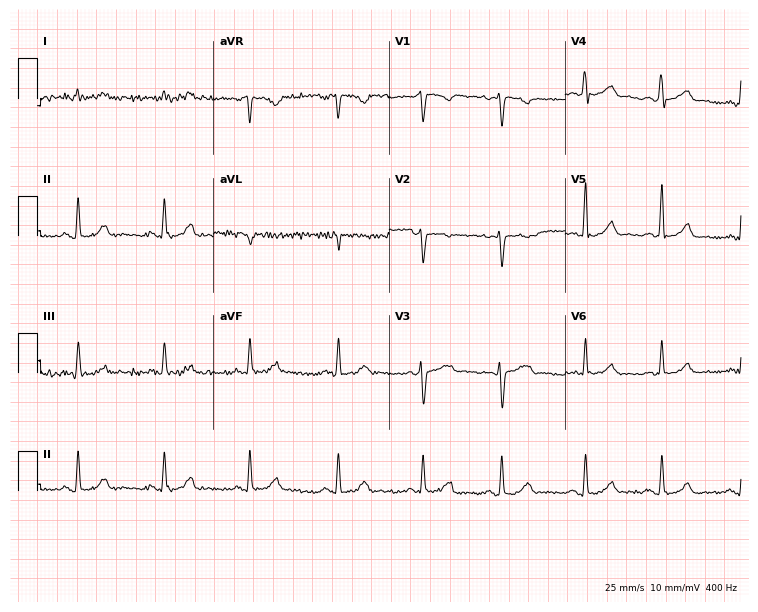
12-lead ECG (7.2-second recording at 400 Hz) from a female patient, 32 years old. Labelled as a normal ECG.